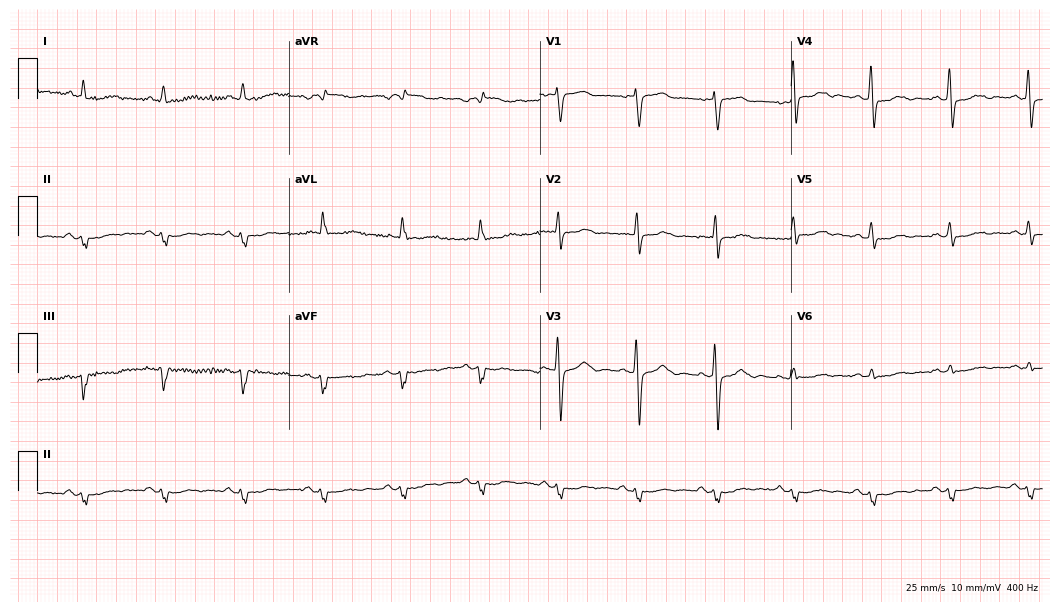
Electrocardiogram (10.2-second recording at 400 Hz), an 80-year-old female. Of the six screened findings (first-degree AV block, right bundle branch block, left bundle branch block, sinus bradycardia, atrial fibrillation, sinus tachycardia), none is recorded. Only these six findings were labelled.